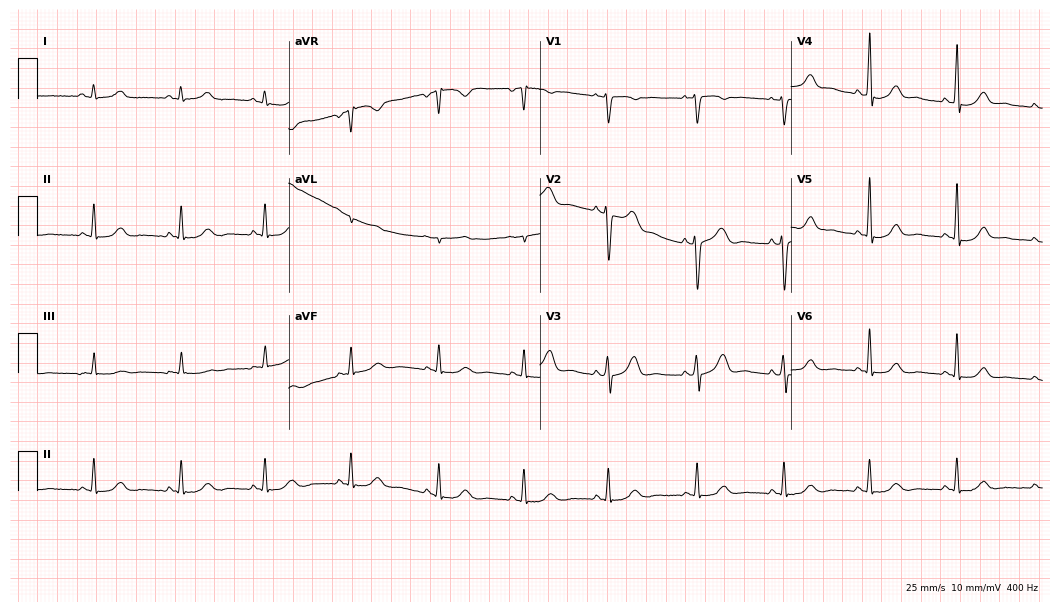
ECG — a 58-year-old female. Labelled as a normal ECG.